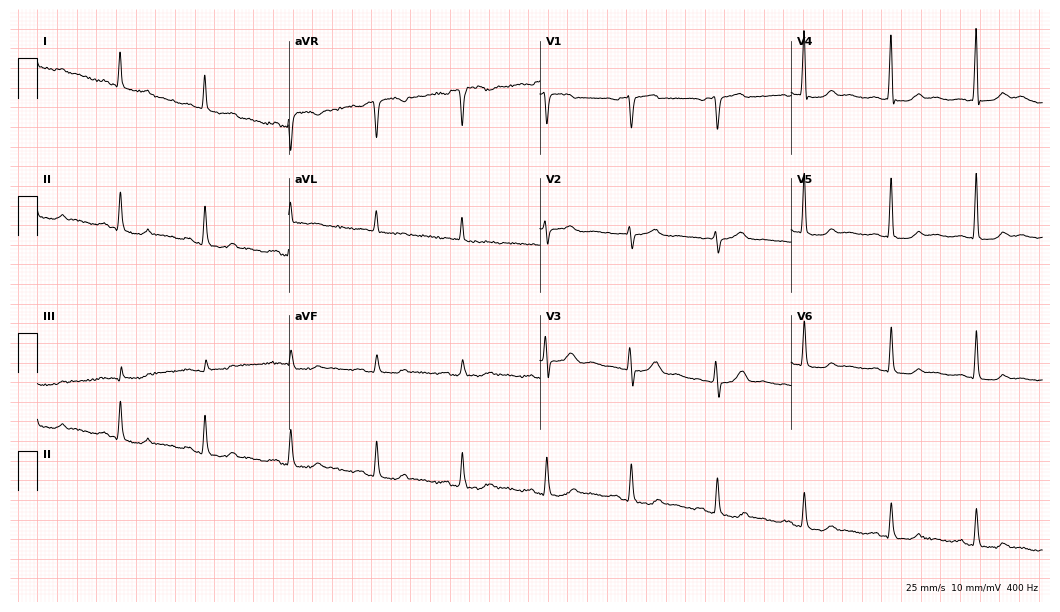
Resting 12-lead electrocardiogram. Patient: a 78-year-old woman. None of these six findings is recorded: first-degree AV block, right bundle branch block (RBBB), left bundle branch block (LBBB), sinus bradycardia, atrial fibrillation (AF), sinus tachycardia. Other findings, if any, are not listed.